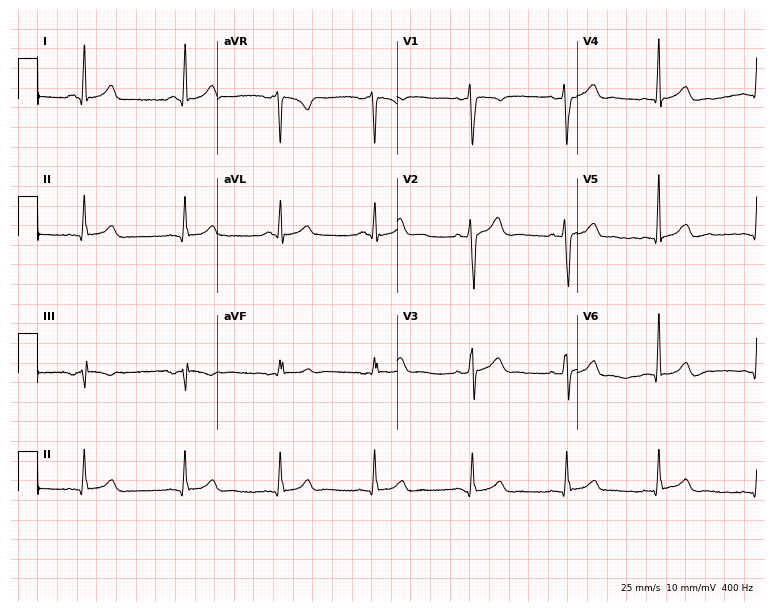
Resting 12-lead electrocardiogram (7.3-second recording at 400 Hz). Patient: a male, 23 years old. Read as a normal ECG.